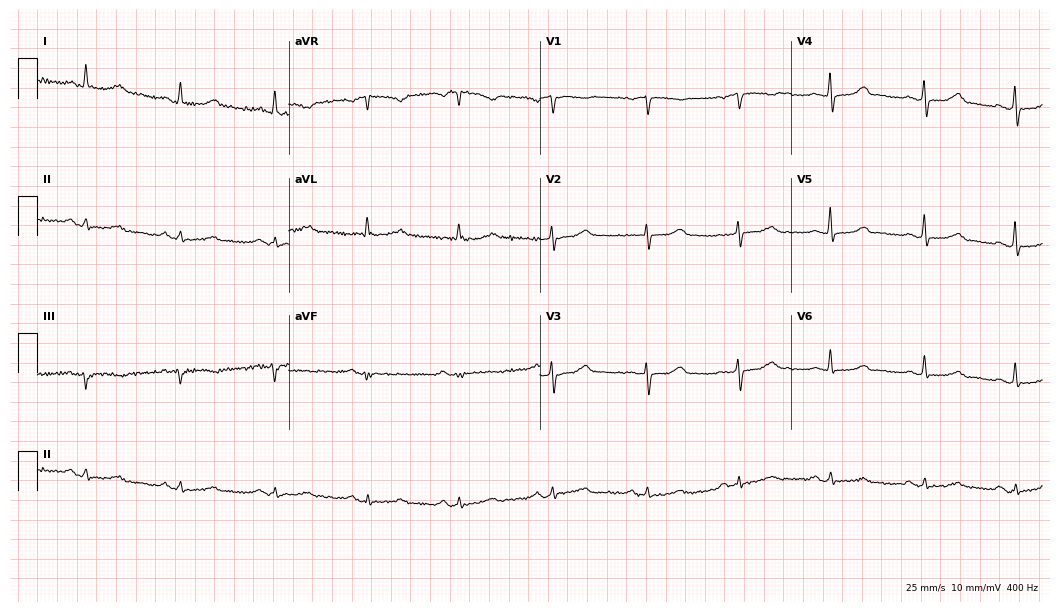
Standard 12-lead ECG recorded from a female patient, 74 years old. None of these six findings is recorded: first-degree AV block, right bundle branch block, left bundle branch block, sinus bradycardia, atrial fibrillation, sinus tachycardia. Other findings, if any, are not listed.